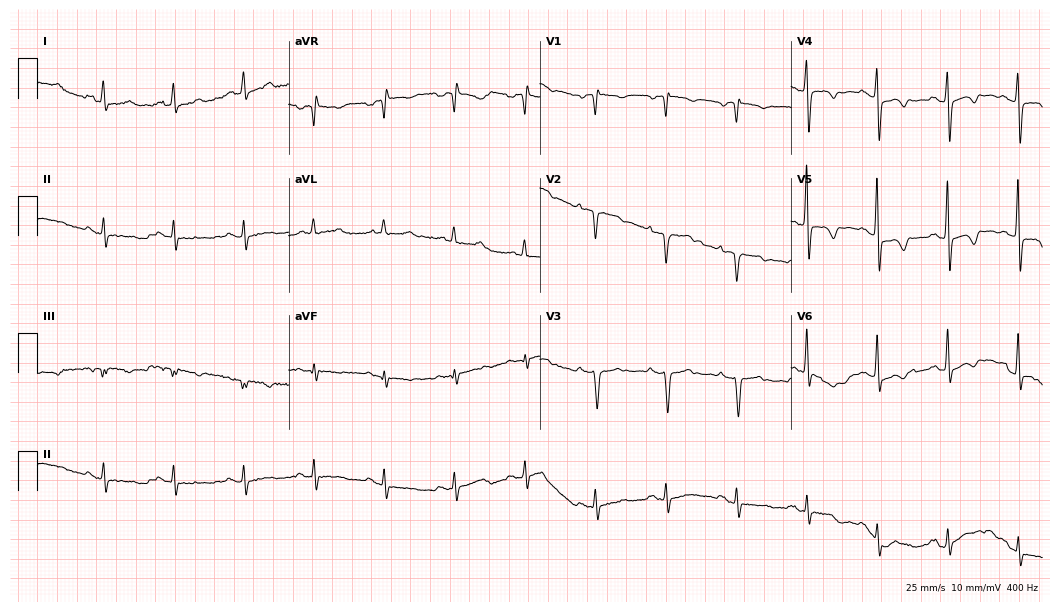
12-lead ECG from an 85-year-old female. No first-degree AV block, right bundle branch block, left bundle branch block, sinus bradycardia, atrial fibrillation or sinus tachycardia recorded for this tracing.